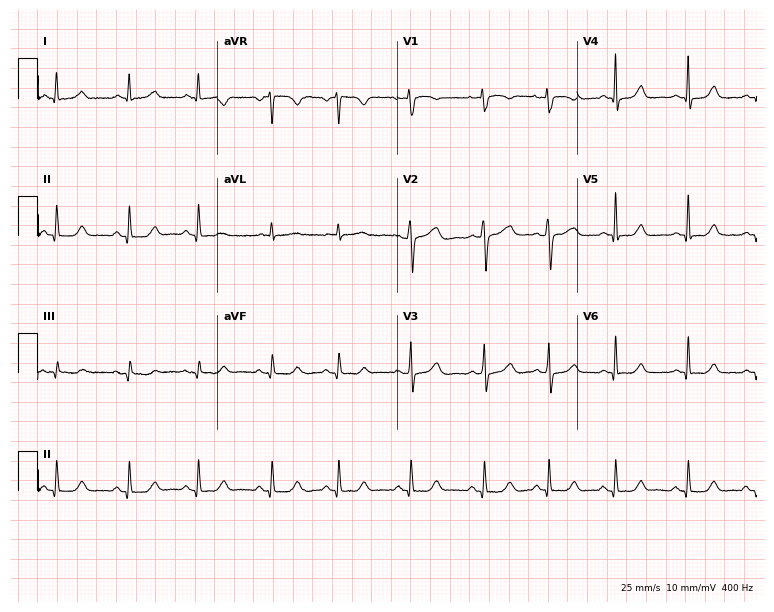
ECG (7.3-second recording at 400 Hz) — a 39-year-old female. Labelled as a normal ECG.